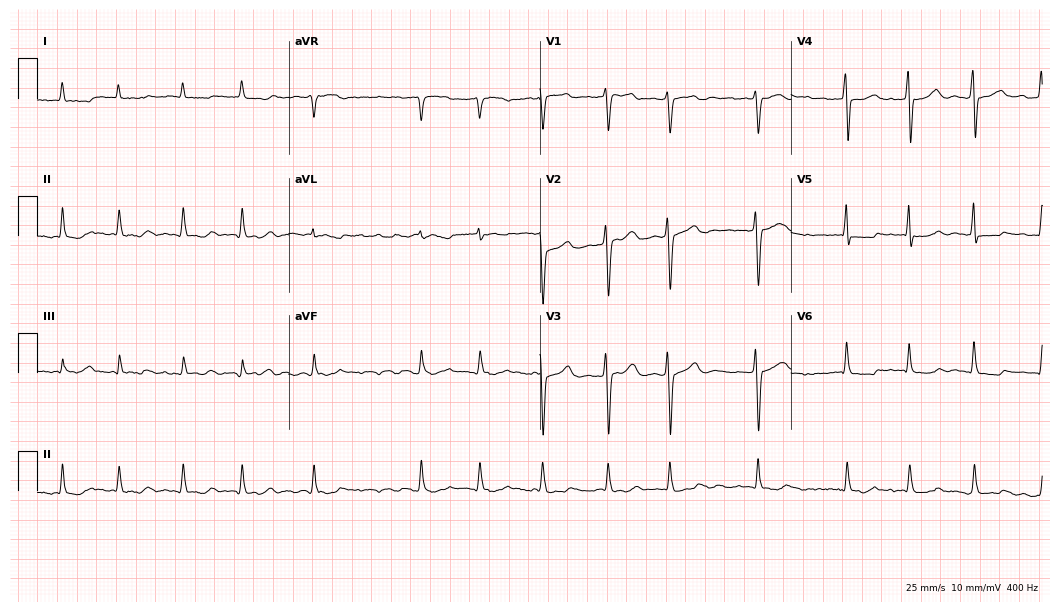
Resting 12-lead electrocardiogram. Patient: a woman, 62 years old. The tracing shows atrial fibrillation (AF).